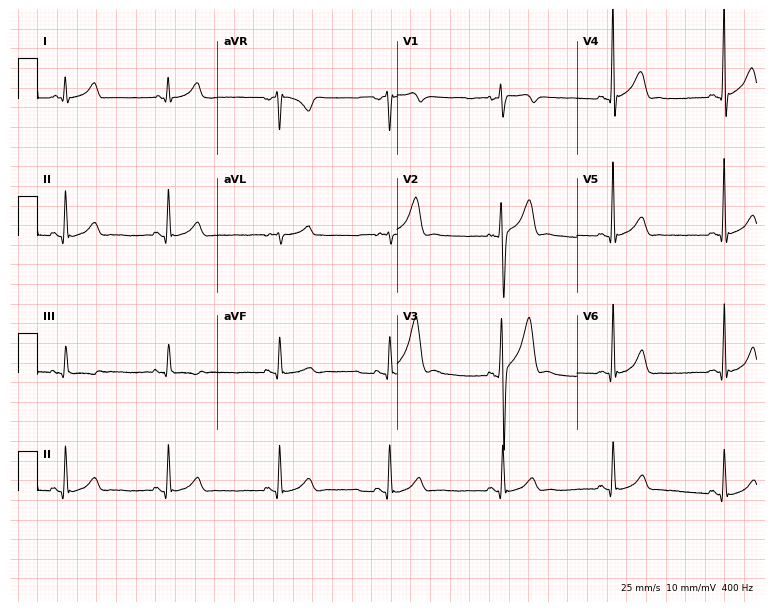
Resting 12-lead electrocardiogram. Patient: a male, 26 years old. Read as a normal ECG.